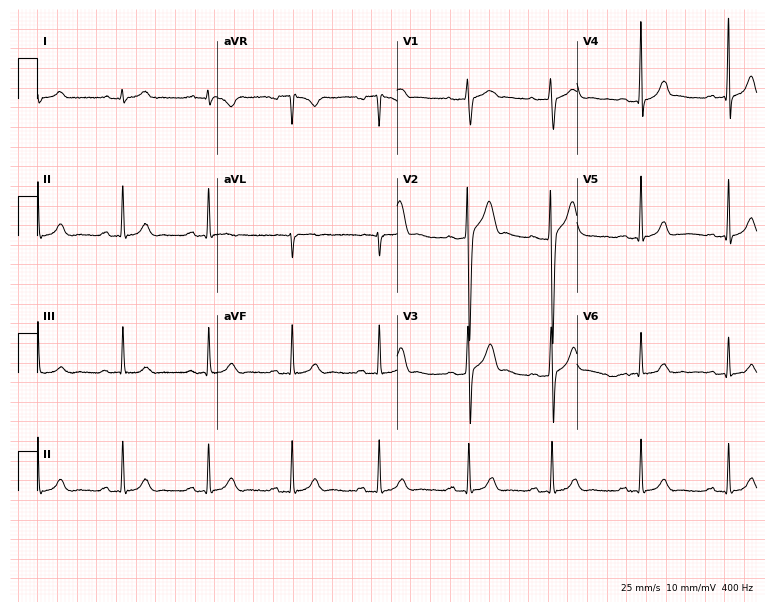
12-lead ECG from a man, 25 years old (7.3-second recording at 400 Hz). No first-degree AV block, right bundle branch block, left bundle branch block, sinus bradycardia, atrial fibrillation or sinus tachycardia recorded for this tracing.